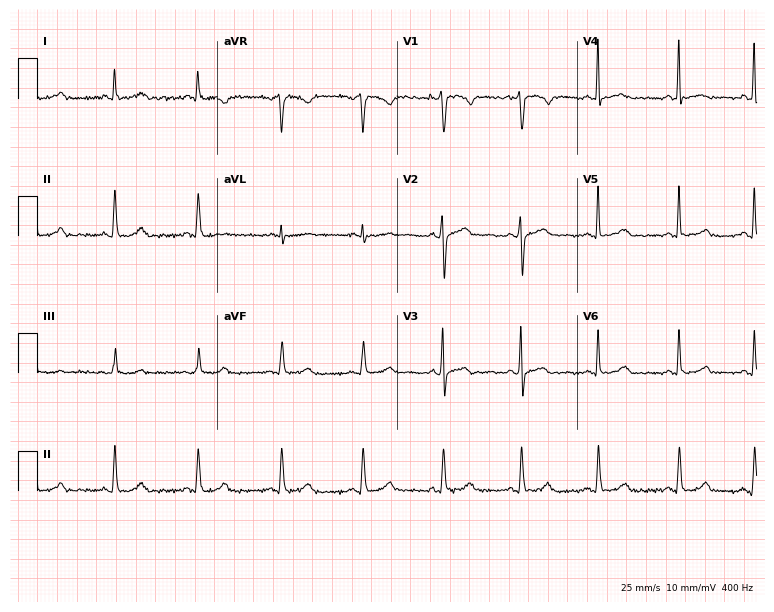
Resting 12-lead electrocardiogram (7.3-second recording at 400 Hz). Patient: a woman, 29 years old. None of these six findings is recorded: first-degree AV block, right bundle branch block, left bundle branch block, sinus bradycardia, atrial fibrillation, sinus tachycardia. Other findings, if any, are not listed.